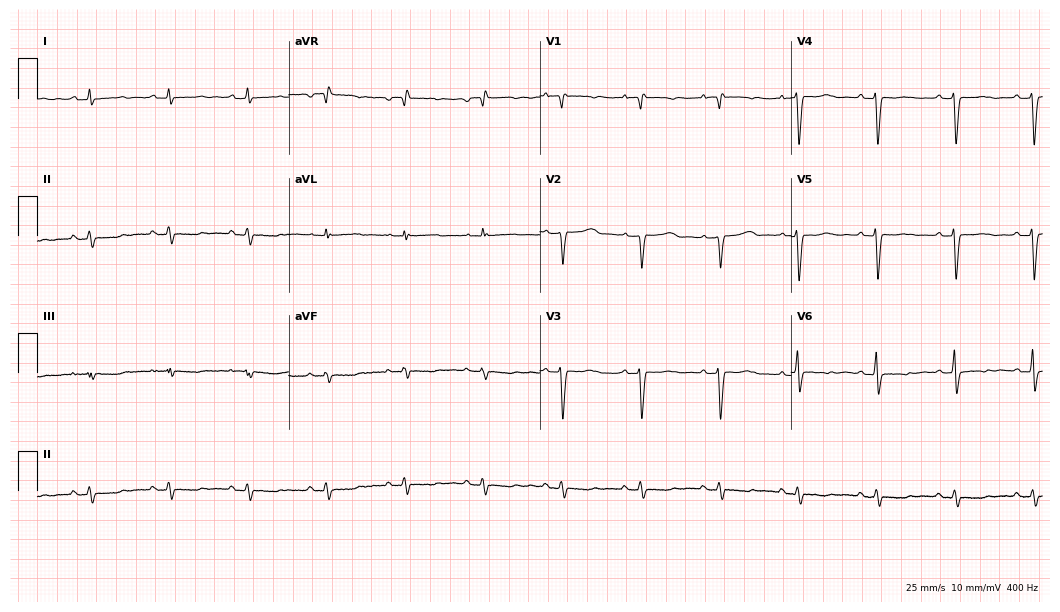
Standard 12-lead ECG recorded from a man, 71 years old (10.2-second recording at 400 Hz). None of these six findings is recorded: first-degree AV block, right bundle branch block (RBBB), left bundle branch block (LBBB), sinus bradycardia, atrial fibrillation (AF), sinus tachycardia. Other findings, if any, are not listed.